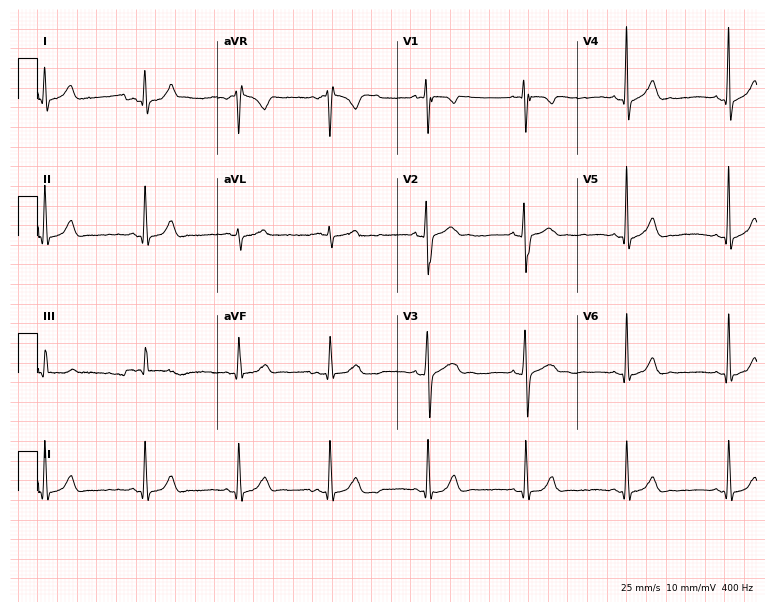
Resting 12-lead electrocardiogram. Patient: an 18-year-old male. None of these six findings is recorded: first-degree AV block, right bundle branch block, left bundle branch block, sinus bradycardia, atrial fibrillation, sinus tachycardia. Findings outside these six are not listed.